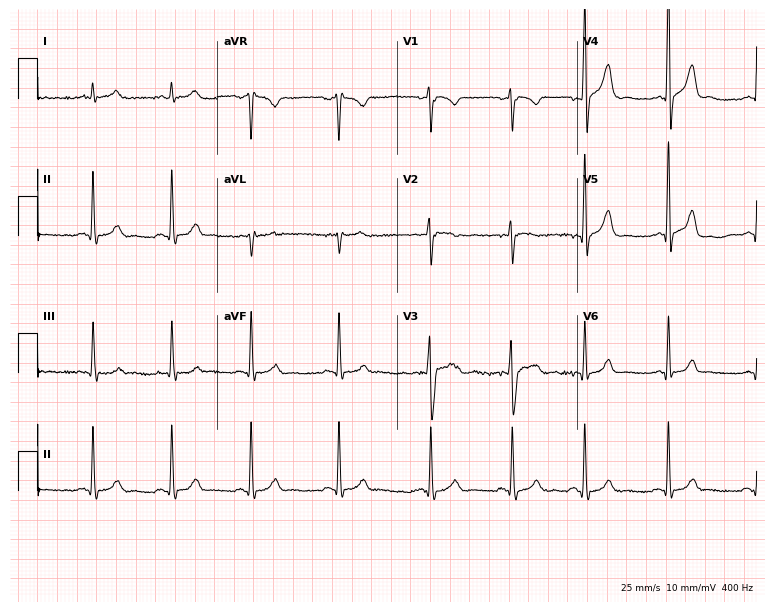
Standard 12-lead ECG recorded from a man, 18 years old (7.3-second recording at 400 Hz). Read as a normal ECG.